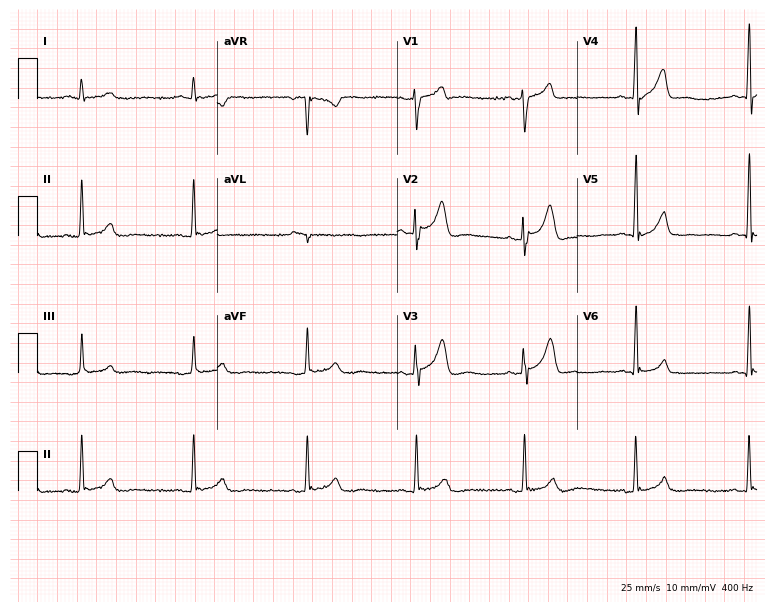
12-lead ECG from a male, 47 years old (7.3-second recording at 400 Hz). No first-degree AV block, right bundle branch block, left bundle branch block, sinus bradycardia, atrial fibrillation or sinus tachycardia recorded for this tracing.